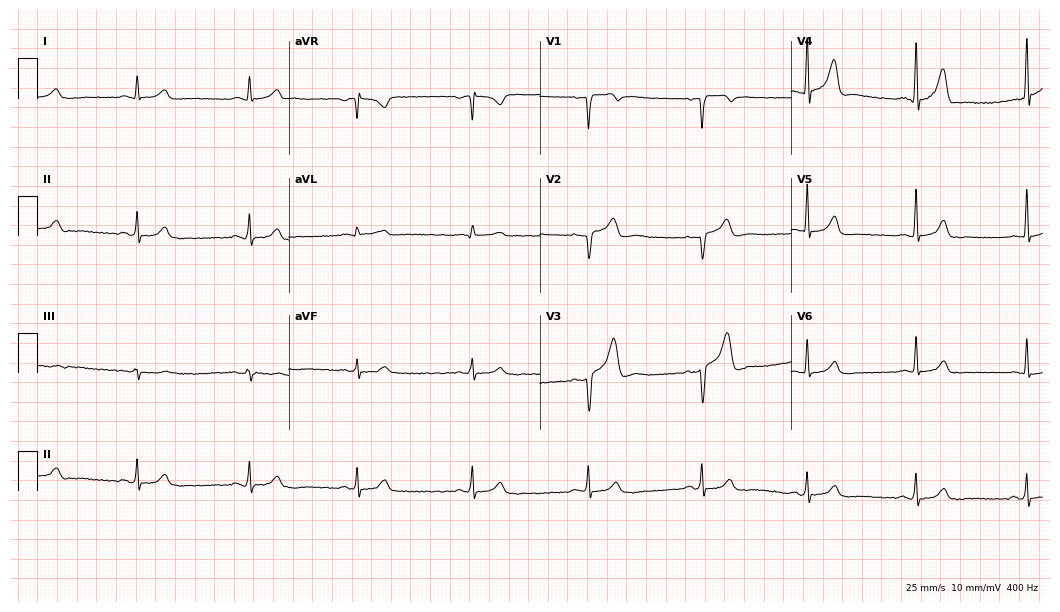
ECG — a 35-year-old man. Screened for six findings — first-degree AV block, right bundle branch block, left bundle branch block, sinus bradycardia, atrial fibrillation, sinus tachycardia — none is recorded. Findings outside these six are not listed.